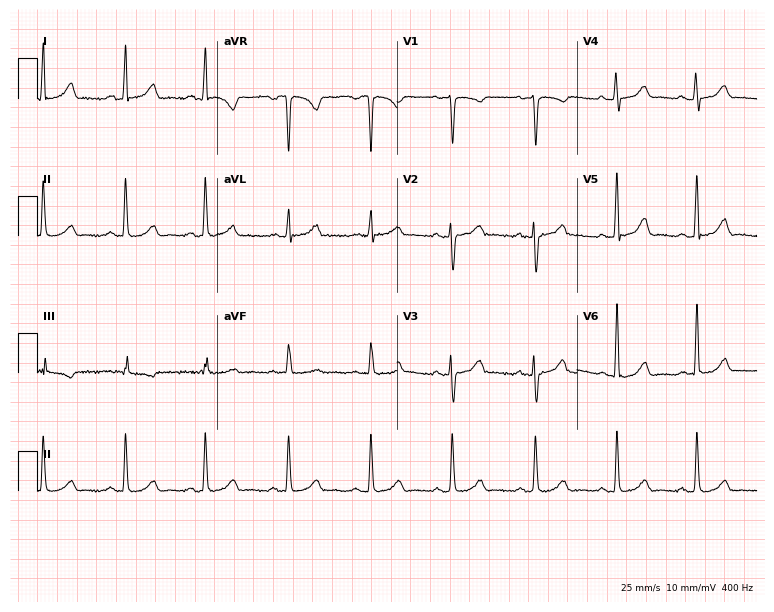
12-lead ECG (7.3-second recording at 400 Hz) from a 36-year-old female. Screened for six findings — first-degree AV block, right bundle branch block, left bundle branch block, sinus bradycardia, atrial fibrillation, sinus tachycardia — none is recorded.